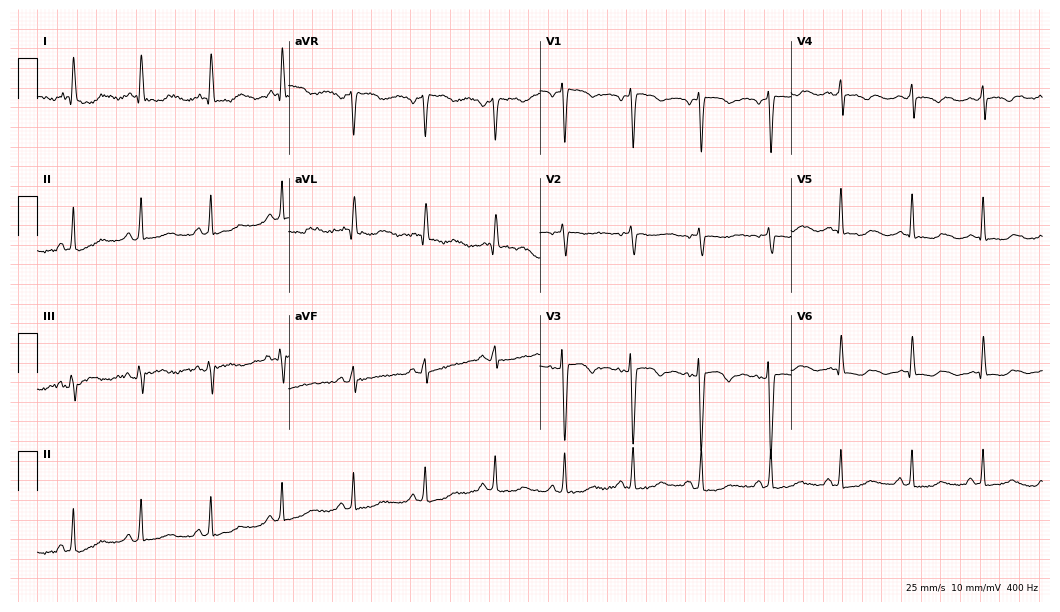
12-lead ECG from a 65-year-old female. Screened for six findings — first-degree AV block, right bundle branch block (RBBB), left bundle branch block (LBBB), sinus bradycardia, atrial fibrillation (AF), sinus tachycardia — none is recorded. Other findings, if any, are not listed.